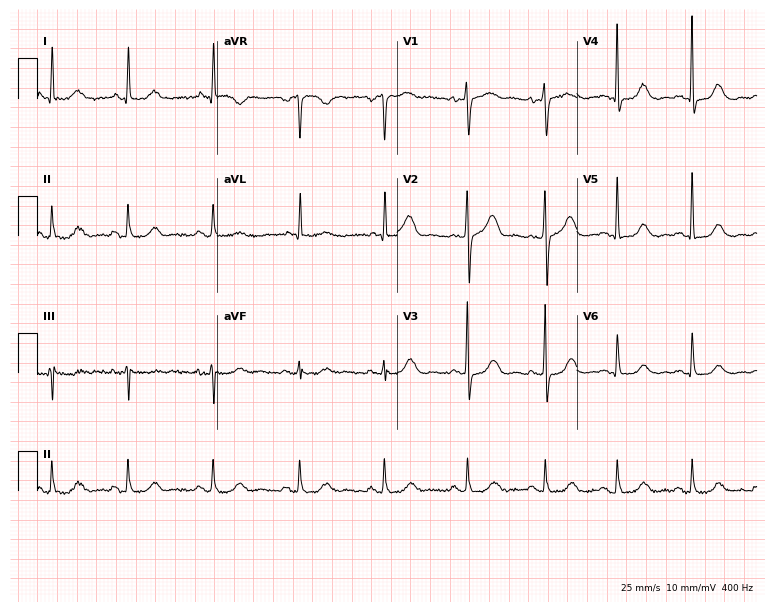
Electrocardiogram (7.3-second recording at 400 Hz), a female patient, 63 years old. Of the six screened findings (first-degree AV block, right bundle branch block, left bundle branch block, sinus bradycardia, atrial fibrillation, sinus tachycardia), none is recorded. Only these six findings were labelled.